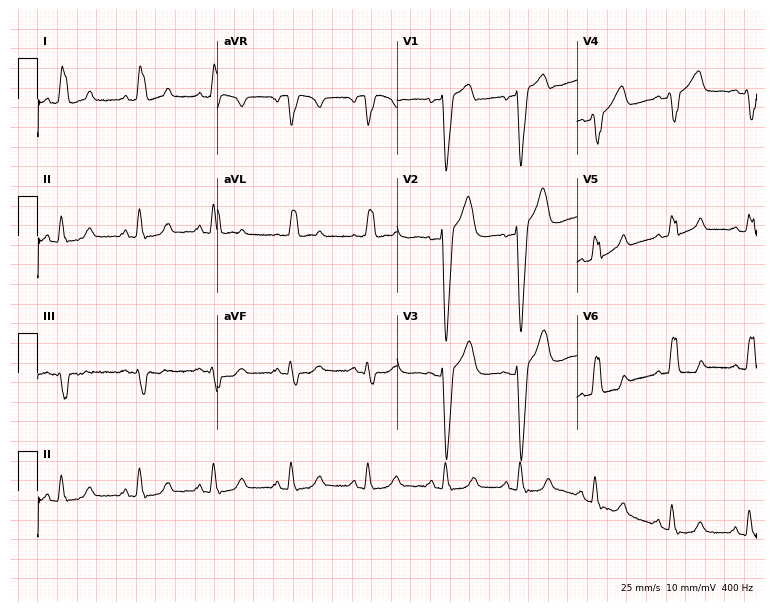
12-lead ECG from a 51-year-old female patient. Shows left bundle branch block.